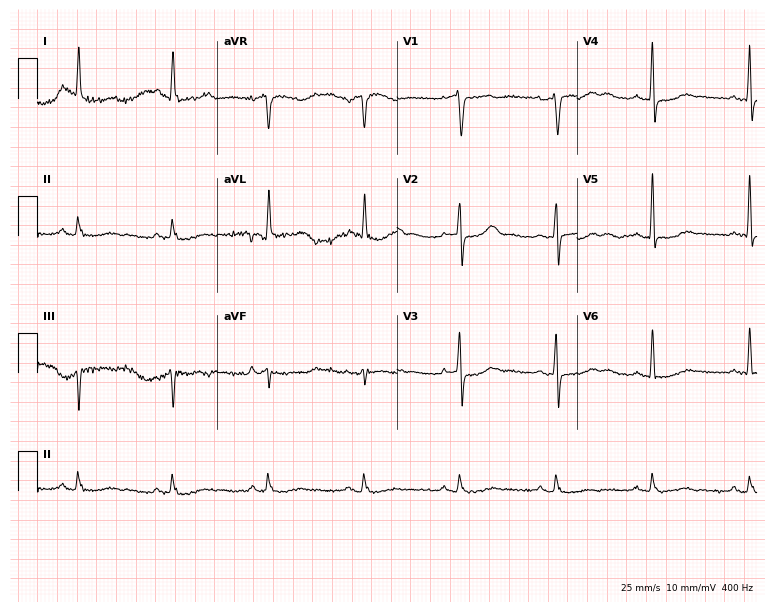
12-lead ECG from a 76-year-old female patient (7.3-second recording at 400 Hz). Recorded interpretation: within normal limits.